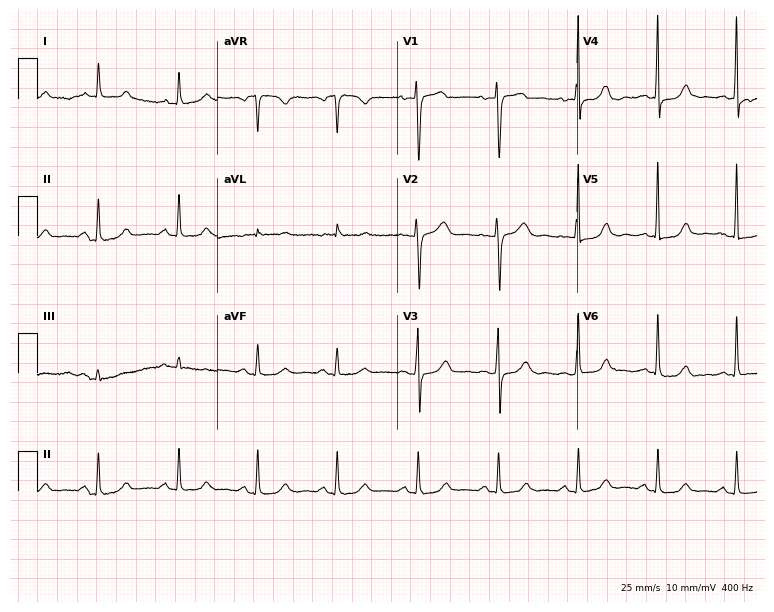
12-lead ECG from a 65-year-old female. Labelled as a normal ECG.